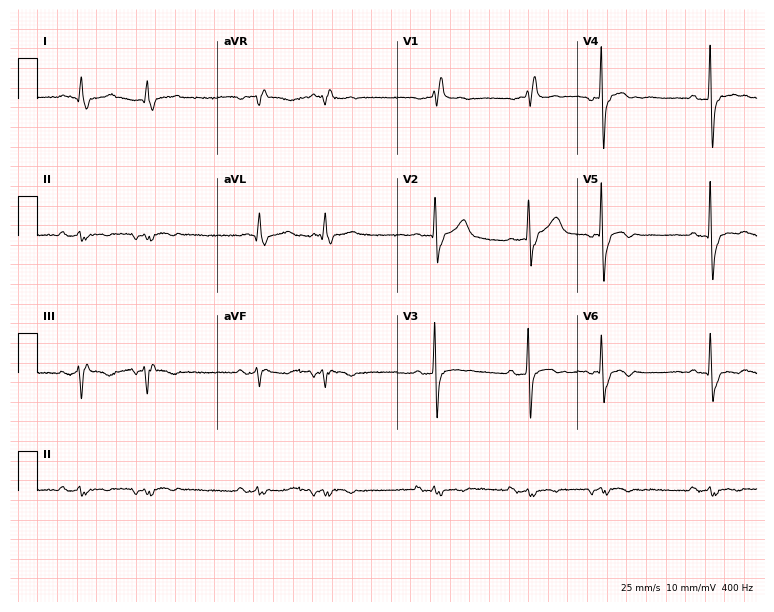
Standard 12-lead ECG recorded from a 72-year-old male (7.3-second recording at 400 Hz). The tracing shows right bundle branch block.